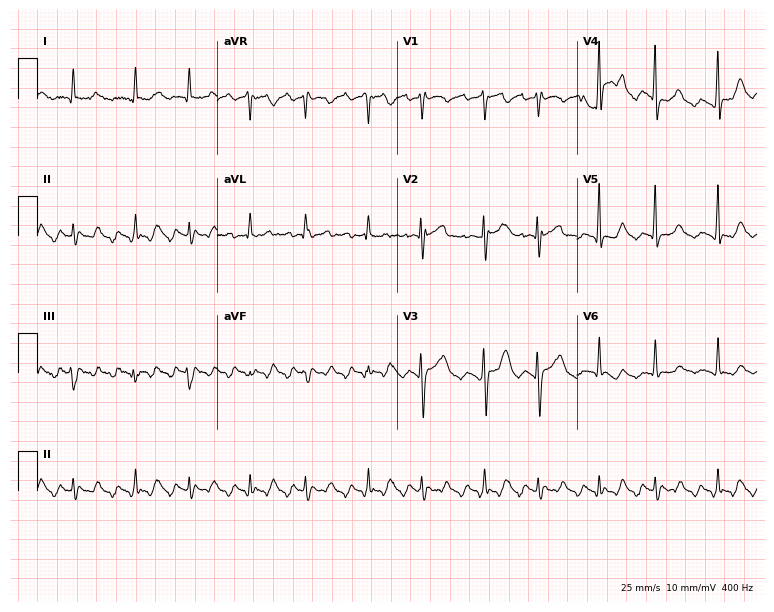
ECG — an 80-year-old male patient. Screened for six findings — first-degree AV block, right bundle branch block (RBBB), left bundle branch block (LBBB), sinus bradycardia, atrial fibrillation (AF), sinus tachycardia — none is recorded.